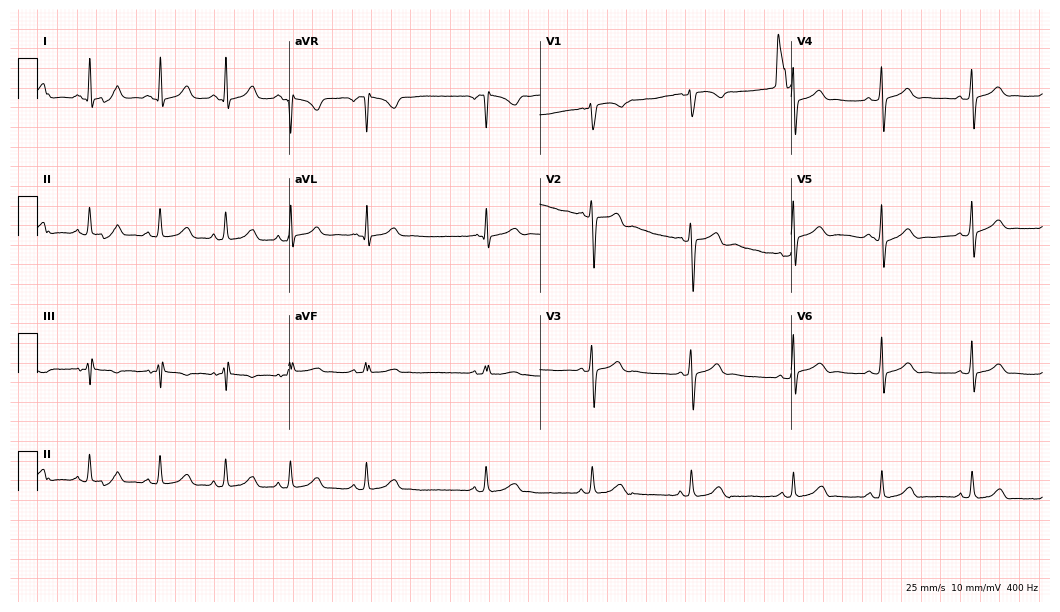
12-lead ECG from a female, 20 years old (10.2-second recording at 400 Hz). Recorded interpretation: within normal limits.